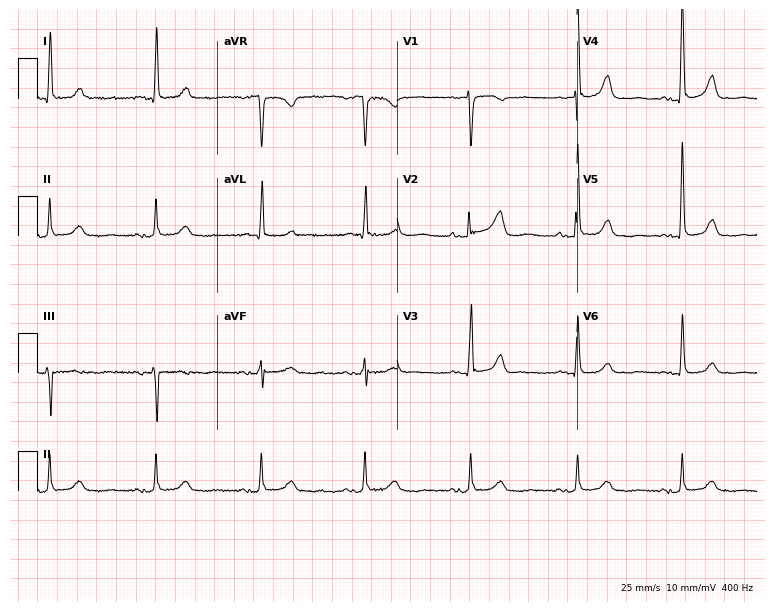
ECG (7.3-second recording at 400 Hz) — an 84-year-old female patient. Screened for six findings — first-degree AV block, right bundle branch block, left bundle branch block, sinus bradycardia, atrial fibrillation, sinus tachycardia — none is recorded.